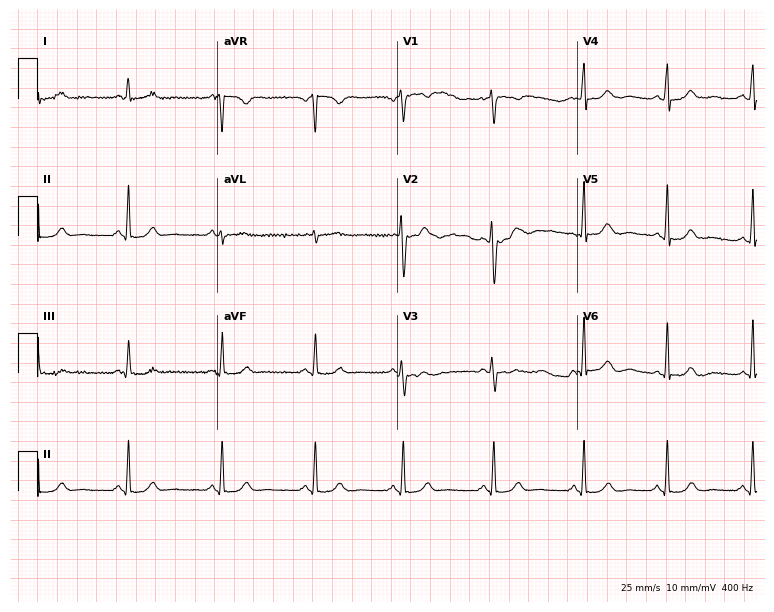
12-lead ECG (7.3-second recording at 400 Hz) from a 36-year-old female patient. Labelled as a normal ECG.